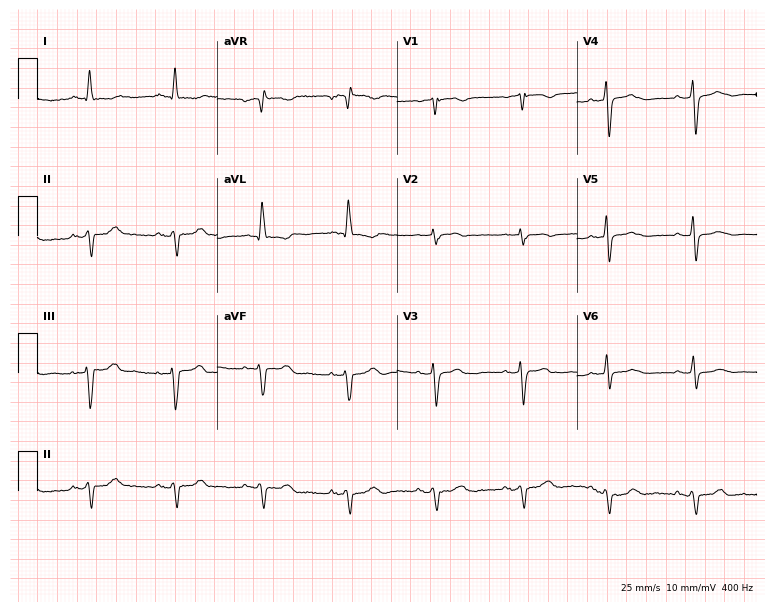
12-lead ECG (7.3-second recording at 400 Hz) from a 69-year-old female. Screened for six findings — first-degree AV block, right bundle branch block (RBBB), left bundle branch block (LBBB), sinus bradycardia, atrial fibrillation (AF), sinus tachycardia — none is recorded. Other findings, if any, are not listed.